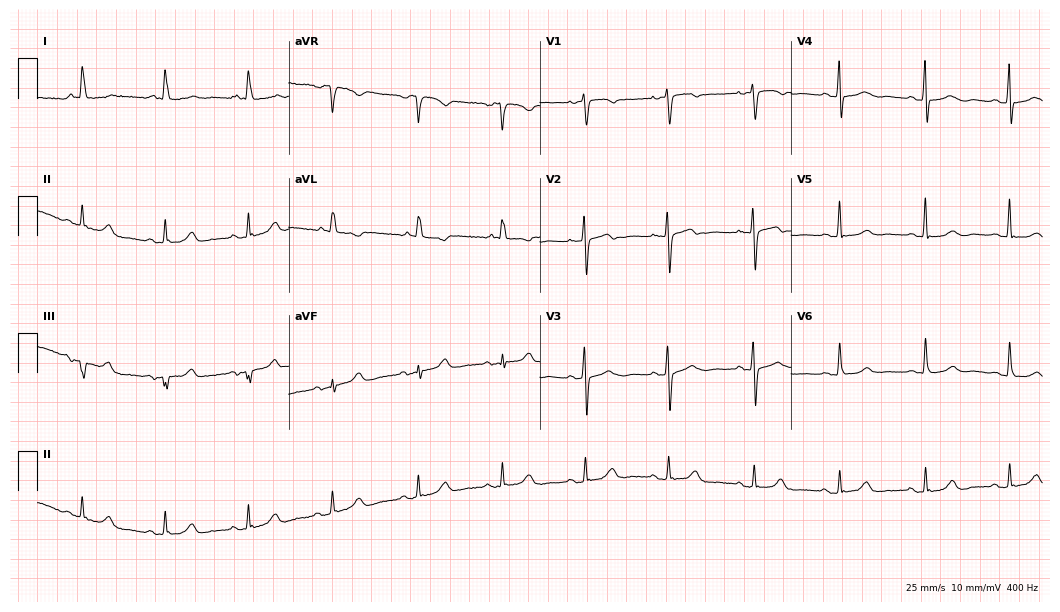
Standard 12-lead ECG recorded from a female patient, 77 years old (10.2-second recording at 400 Hz). Read as a normal ECG.